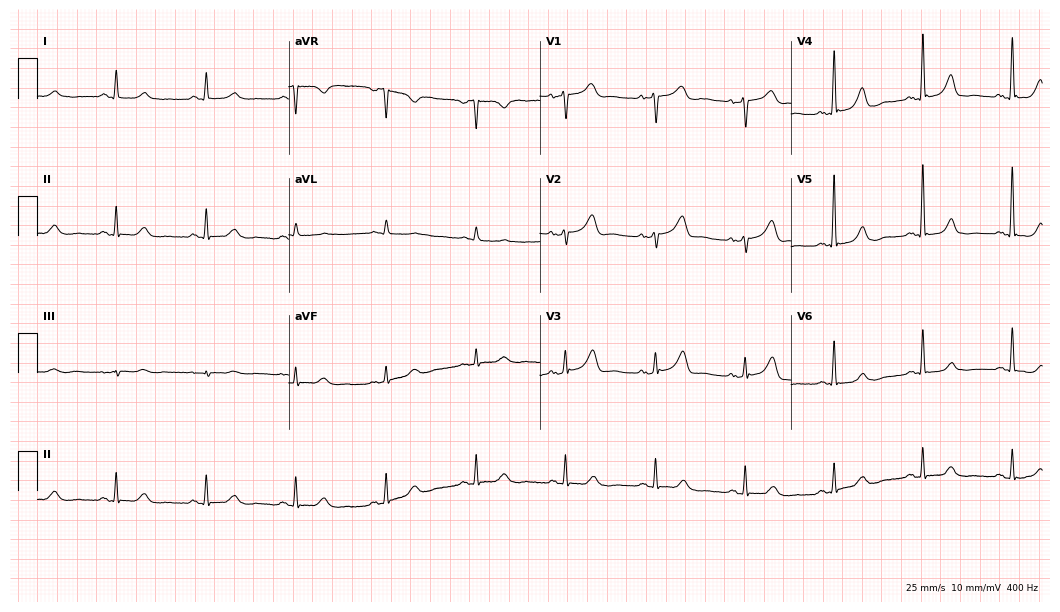
Standard 12-lead ECG recorded from a female, 71 years old (10.2-second recording at 400 Hz). Read as a normal ECG.